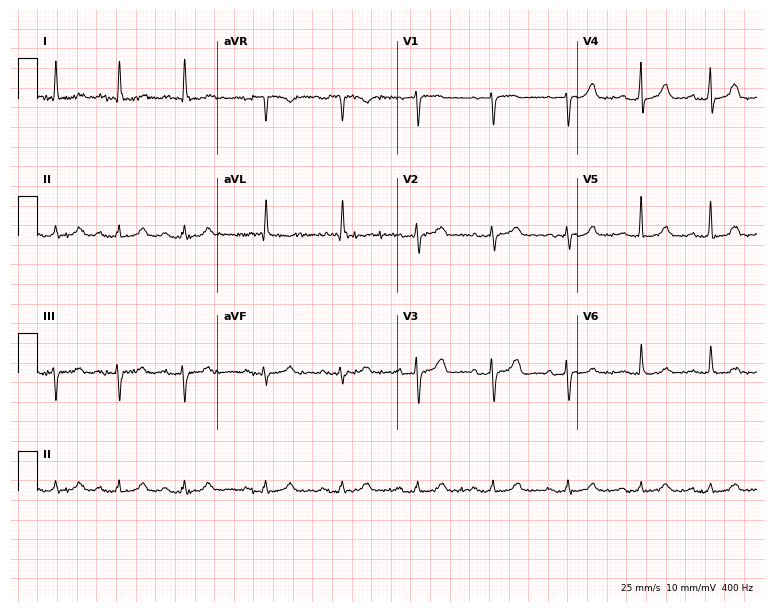
Resting 12-lead electrocardiogram (7.3-second recording at 400 Hz). Patient: a woman, 79 years old. Read as a normal ECG.